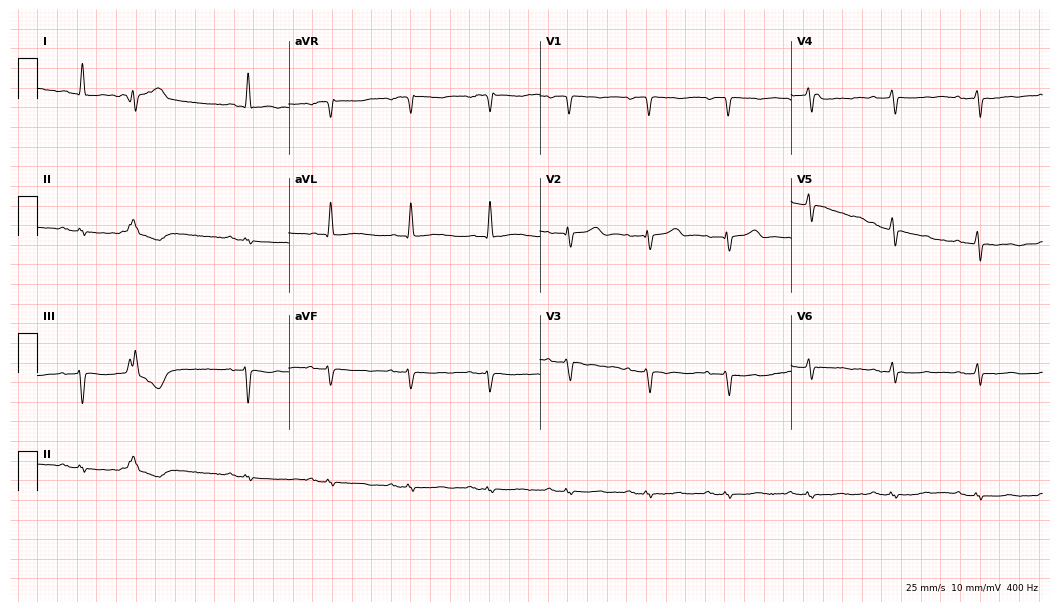
Resting 12-lead electrocardiogram. Patient: a man, 83 years old. None of these six findings is recorded: first-degree AV block, right bundle branch block, left bundle branch block, sinus bradycardia, atrial fibrillation, sinus tachycardia.